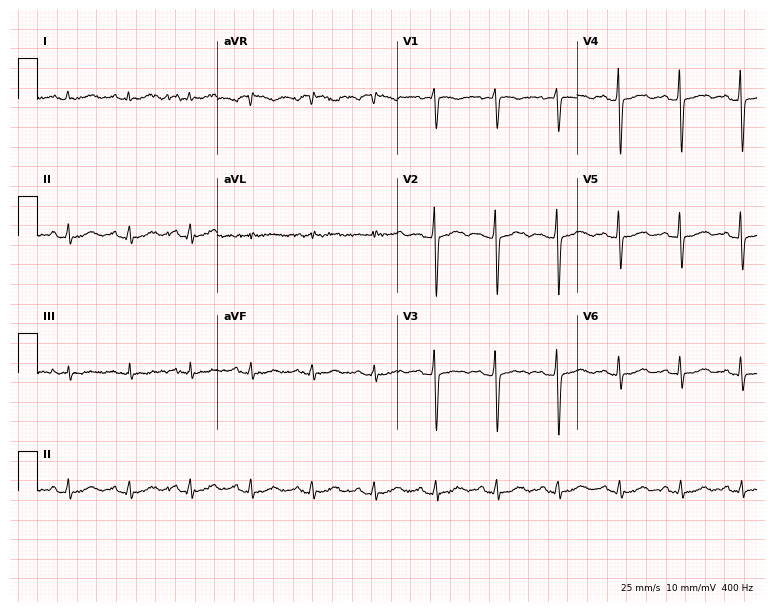
12-lead ECG from a 53-year-old female. Screened for six findings — first-degree AV block, right bundle branch block (RBBB), left bundle branch block (LBBB), sinus bradycardia, atrial fibrillation (AF), sinus tachycardia — none is recorded. Only these six findings were labelled.